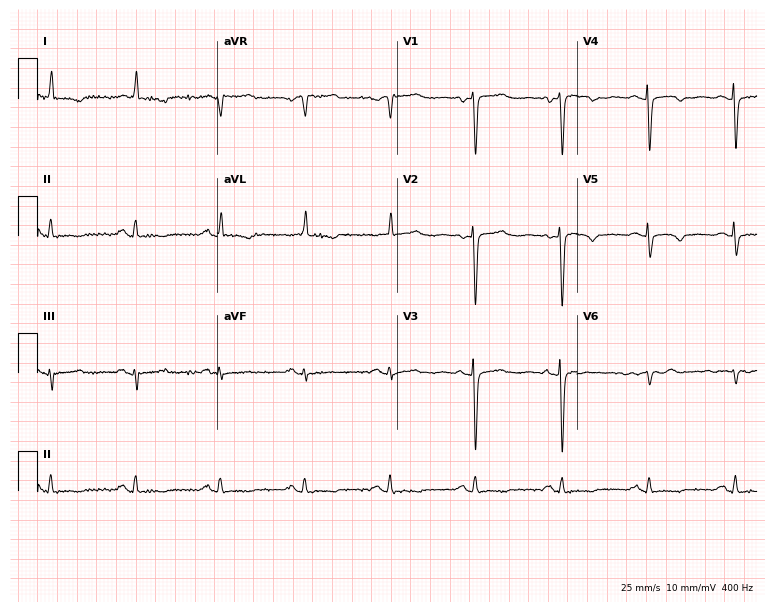
12-lead ECG from a female patient, 77 years old. No first-degree AV block, right bundle branch block (RBBB), left bundle branch block (LBBB), sinus bradycardia, atrial fibrillation (AF) or sinus tachycardia recorded for this tracing.